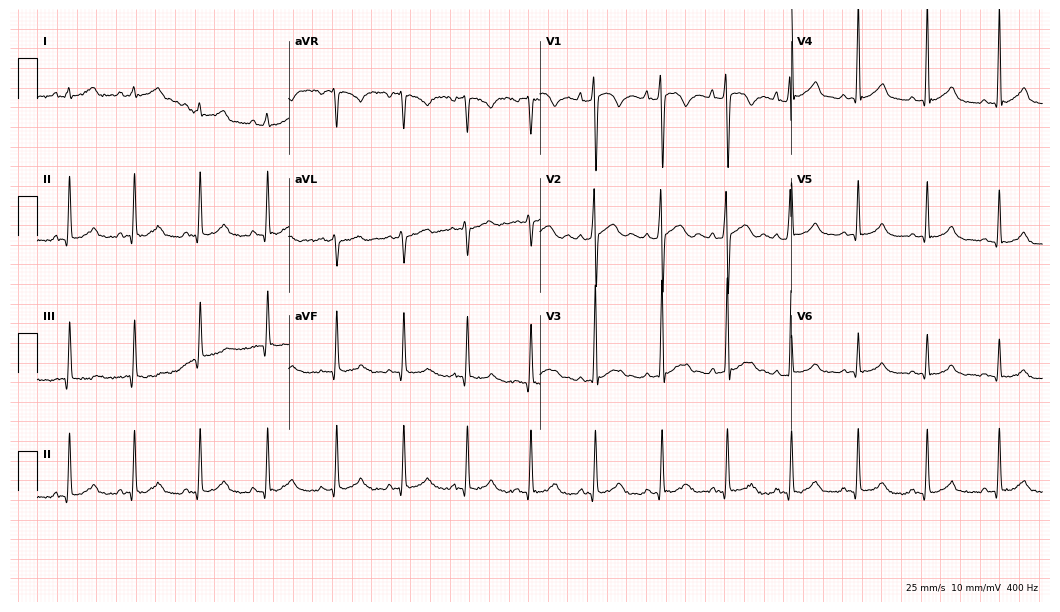
Resting 12-lead electrocardiogram (10.2-second recording at 400 Hz). Patient: a 17-year-old man. Read as a normal ECG.